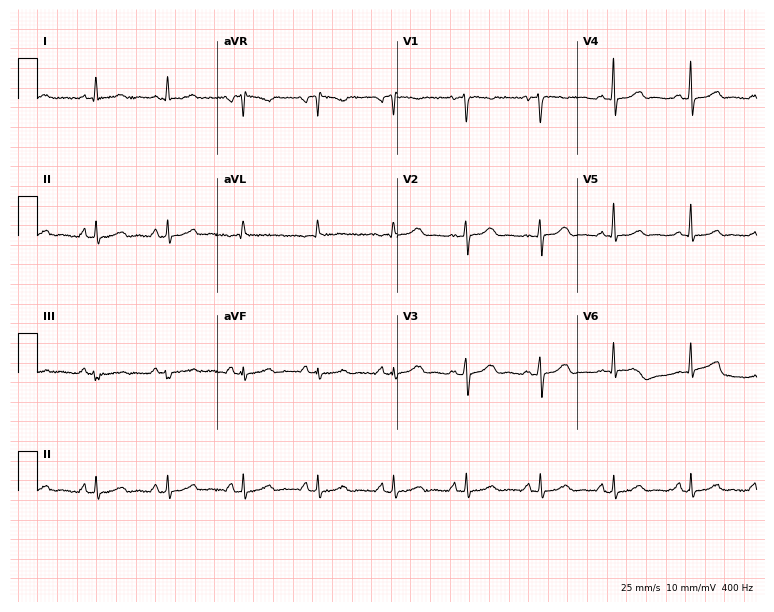
12-lead ECG from a 56-year-old woman (7.3-second recording at 400 Hz). Recorded interpretation: within normal limits.